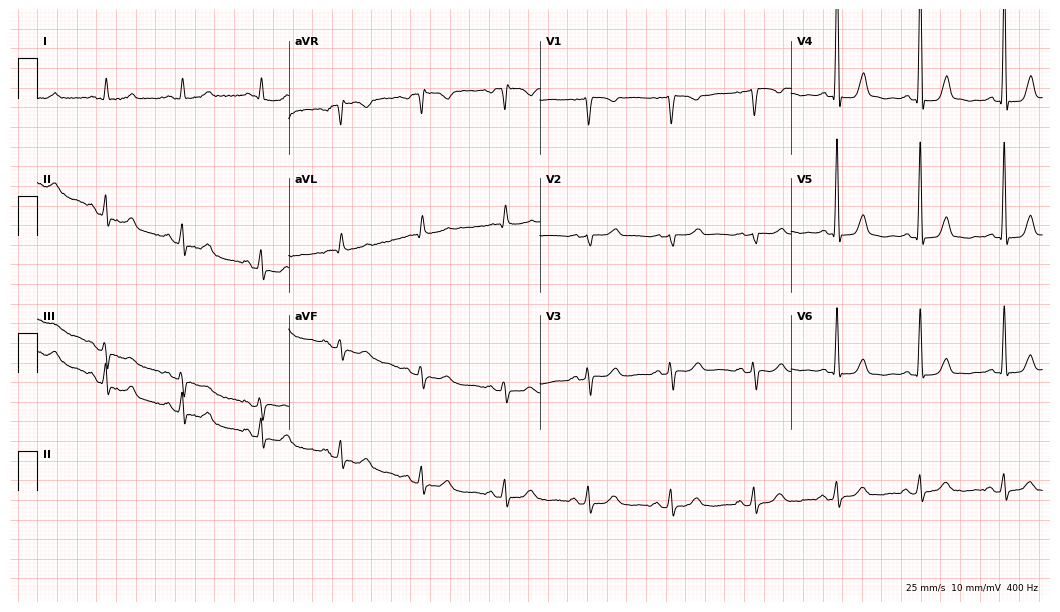
ECG — a female patient, 71 years old. Screened for six findings — first-degree AV block, right bundle branch block (RBBB), left bundle branch block (LBBB), sinus bradycardia, atrial fibrillation (AF), sinus tachycardia — none is recorded. Findings outside these six are not listed.